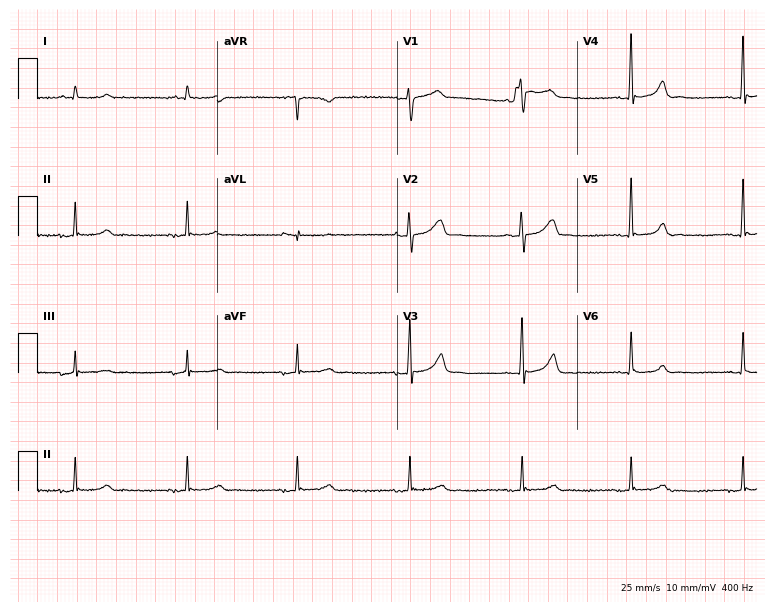
Electrocardiogram (7.3-second recording at 400 Hz), a man, 72 years old. Overall reading on record: normal ECG.